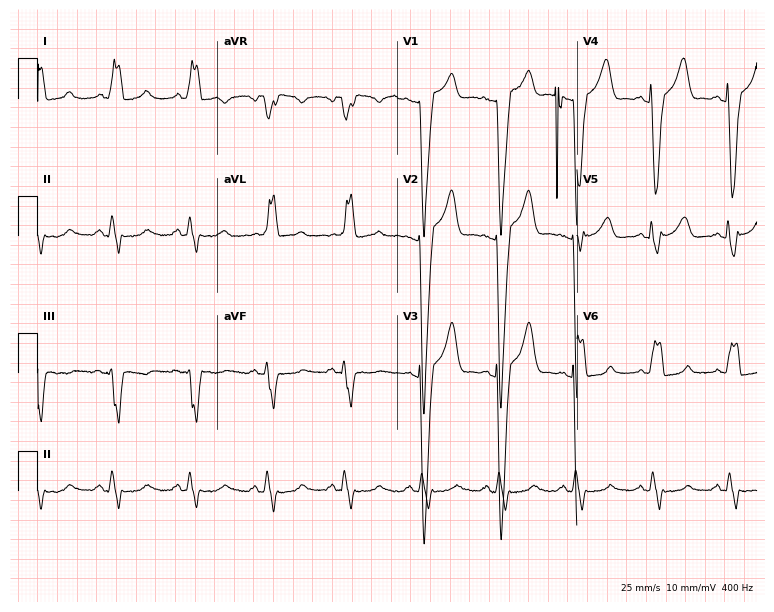
12-lead ECG (7.3-second recording at 400 Hz) from a female patient, 66 years old. Findings include left bundle branch block.